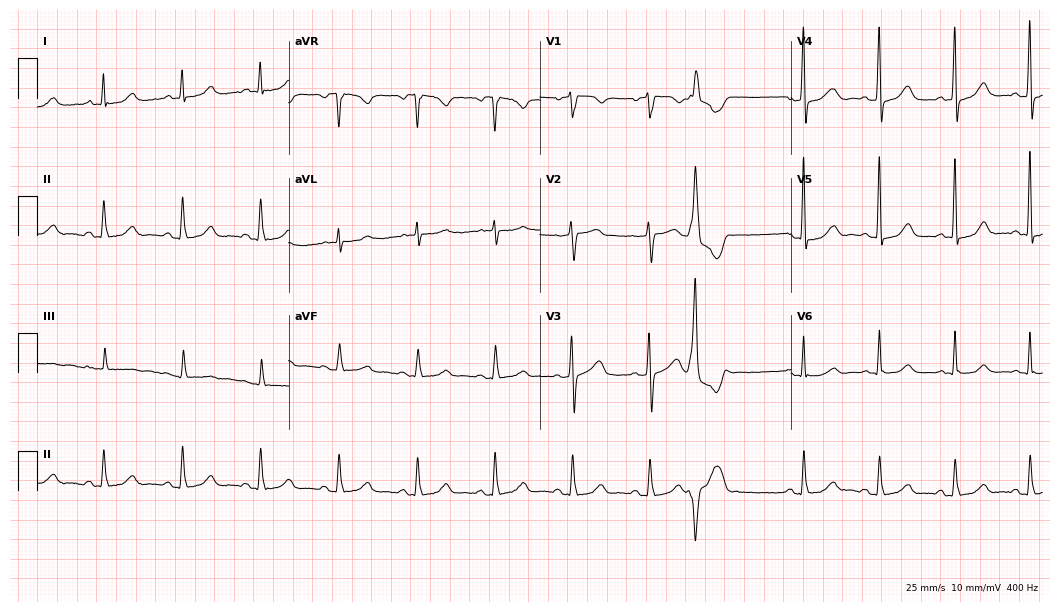
Standard 12-lead ECG recorded from a 65-year-old female patient. None of these six findings is recorded: first-degree AV block, right bundle branch block, left bundle branch block, sinus bradycardia, atrial fibrillation, sinus tachycardia. Other findings, if any, are not listed.